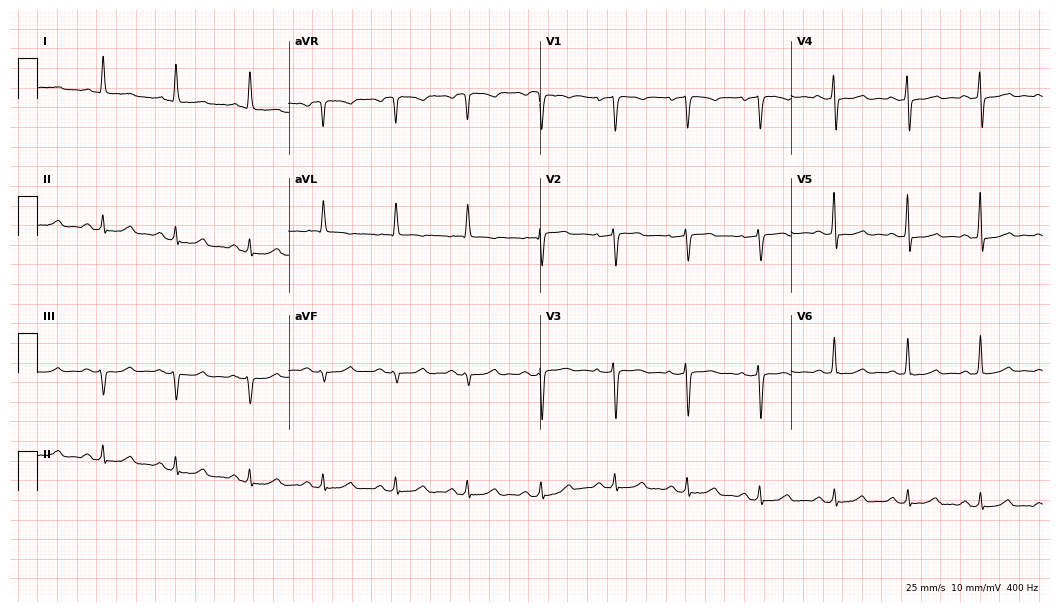
12-lead ECG from a 24-year-old man. Recorded interpretation: within normal limits.